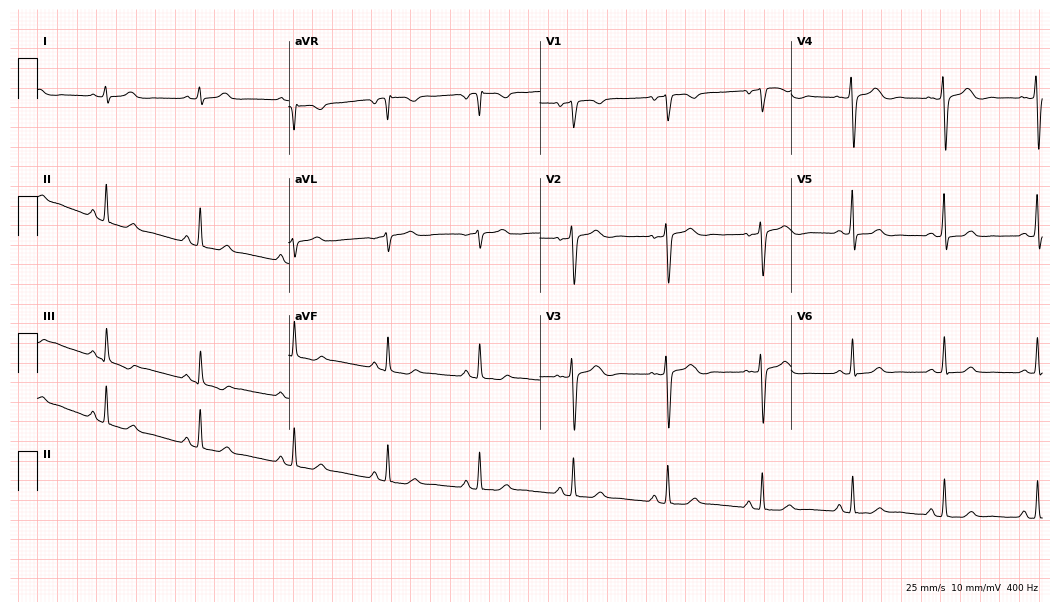
Resting 12-lead electrocardiogram (10.2-second recording at 400 Hz). Patient: a female, 49 years old. Read as a normal ECG.